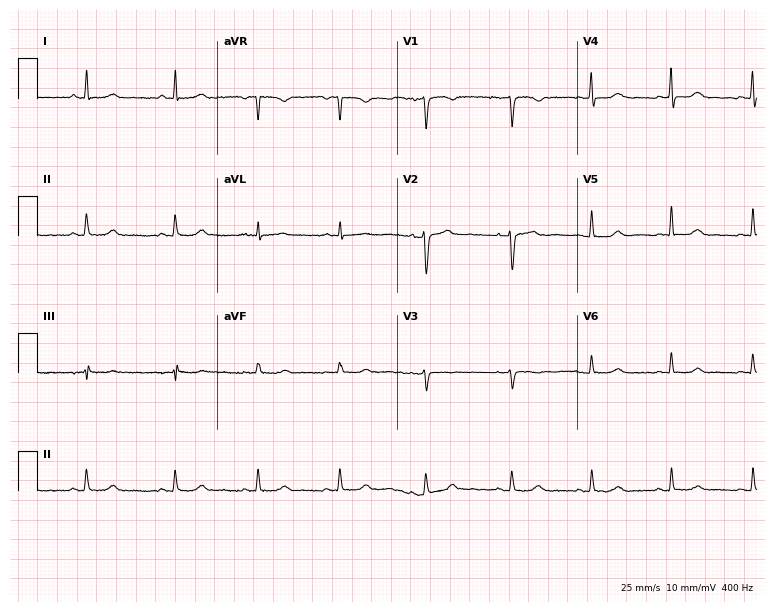
Electrocardiogram (7.3-second recording at 400 Hz), a 36-year-old woman. Of the six screened findings (first-degree AV block, right bundle branch block, left bundle branch block, sinus bradycardia, atrial fibrillation, sinus tachycardia), none is recorded. Findings outside these six are not listed.